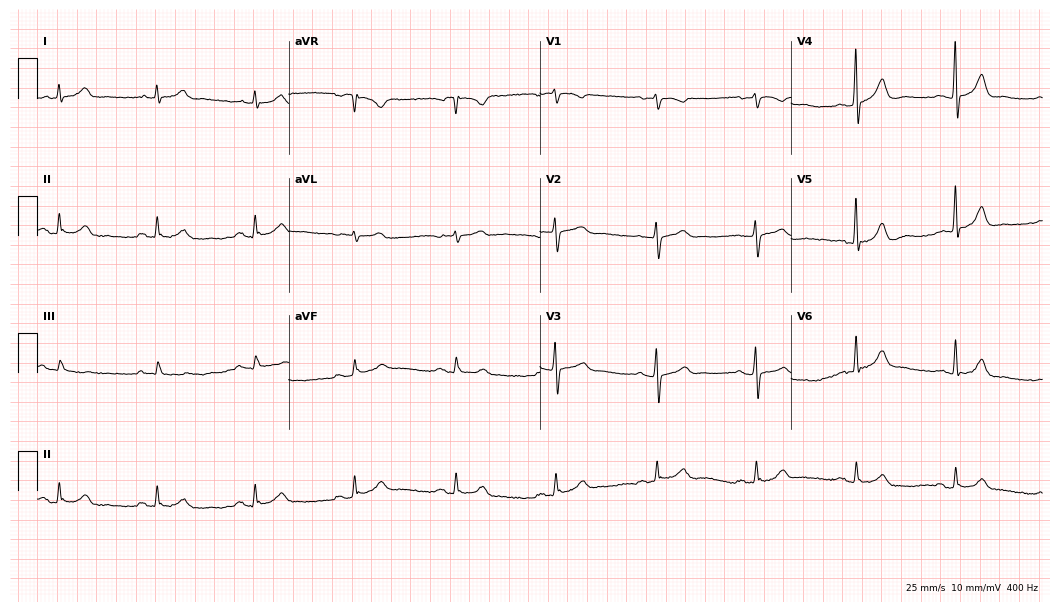
Electrocardiogram, a 71-year-old man. Overall reading on record: normal ECG.